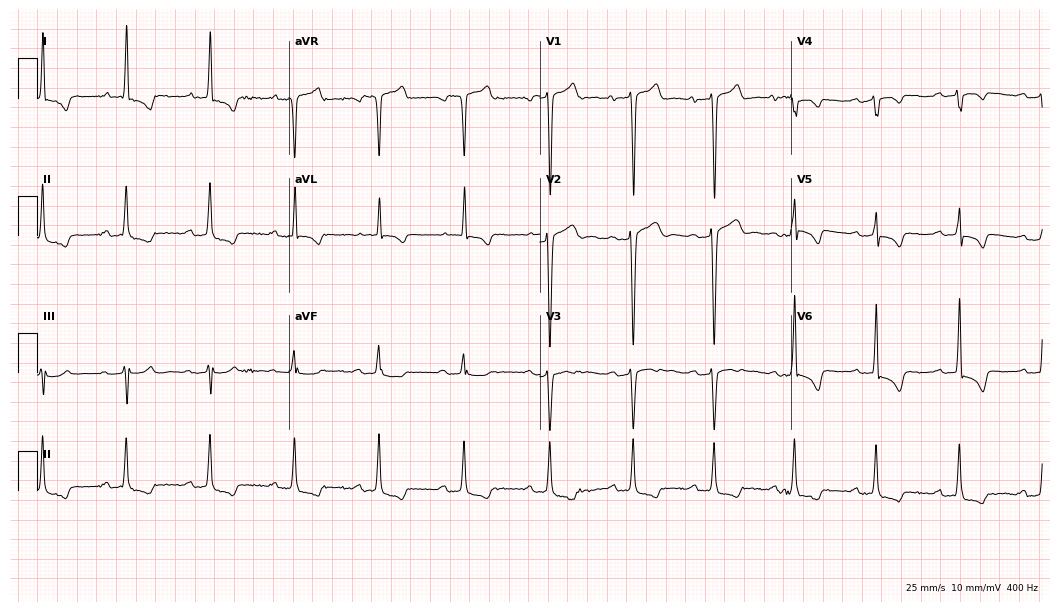
ECG (10.2-second recording at 400 Hz) — a 50-year-old male patient. Findings include first-degree AV block.